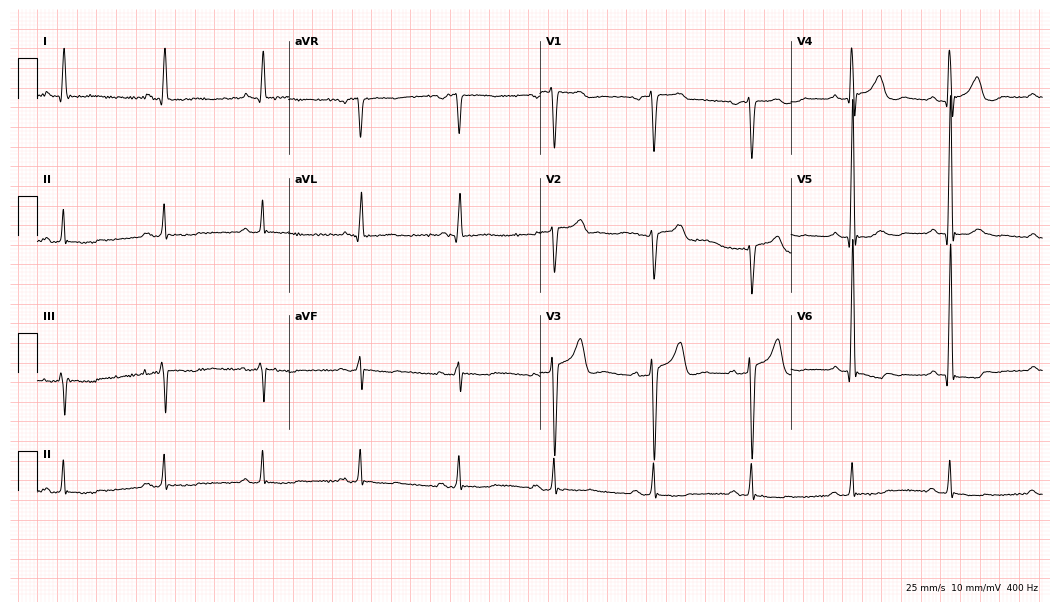
12-lead ECG (10.2-second recording at 400 Hz) from a man, 70 years old. Screened for six findings — first-degree AV block, right bundle branch block (RBBB), left bundle branch block (LBBB), sinus bradycardia, atrial fibrillation (AF), sinus tachycardia — none is recorded. Other findings, if any, are not listed.